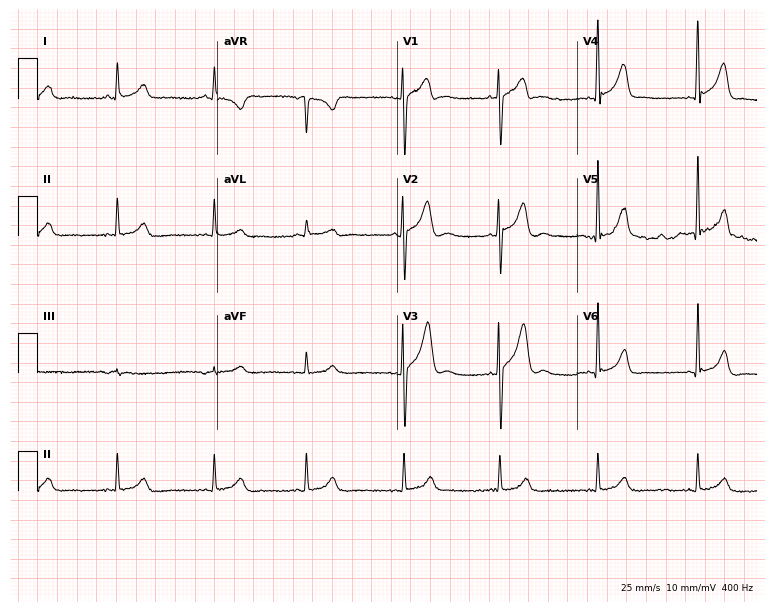
Electrocardiogram, a male, 26 years old. Of the six screened findings (first-degree AV block, right bundle branch block, left bundle branch block, sinus bradycardia, atrial fibrillation, sinus tachycardia), none is recorded. Other findings, if any, are not listed.